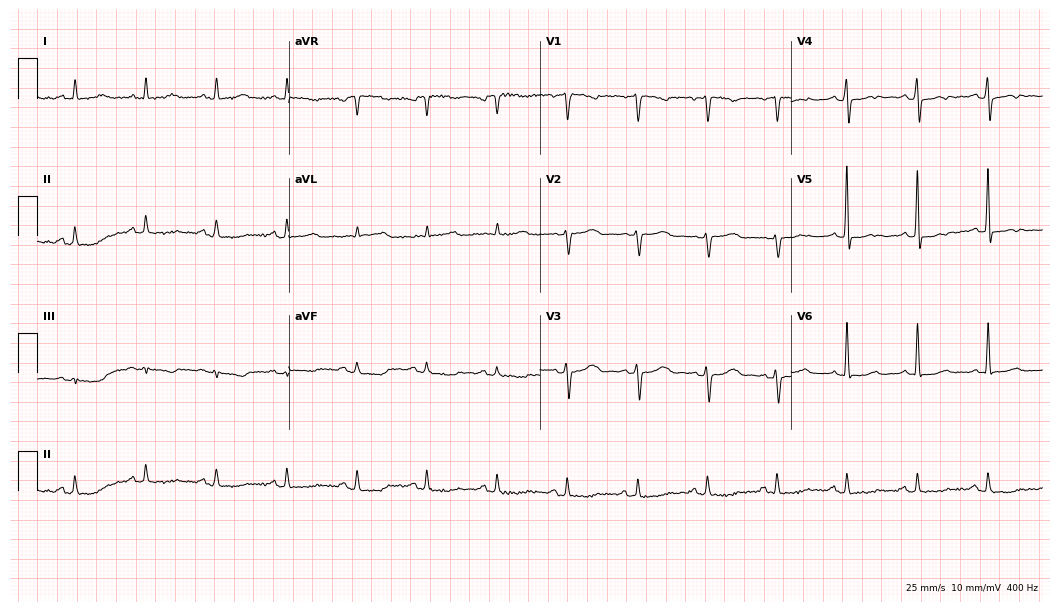
12-lead ECG from a woman, 63 years old. No first-degree AV block, right bundle branch block (RBBB), left bundle branch block (LBBB), sinus bradycardia, atrial fibrillation (AF) or sinus tachycardia recorded for this tracing.